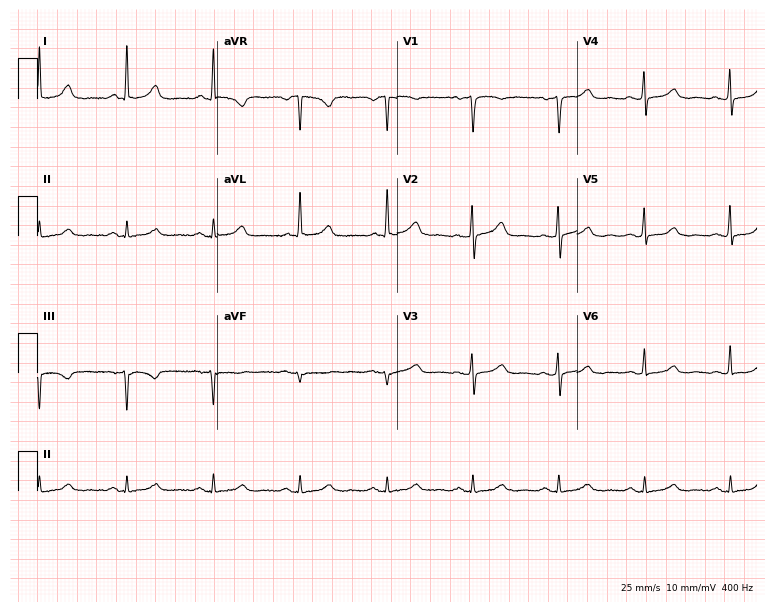
12-lead ECG (7.3-second recording at 400 Hz) from a female patient, 56 years old. Labelled as a normal ECG.